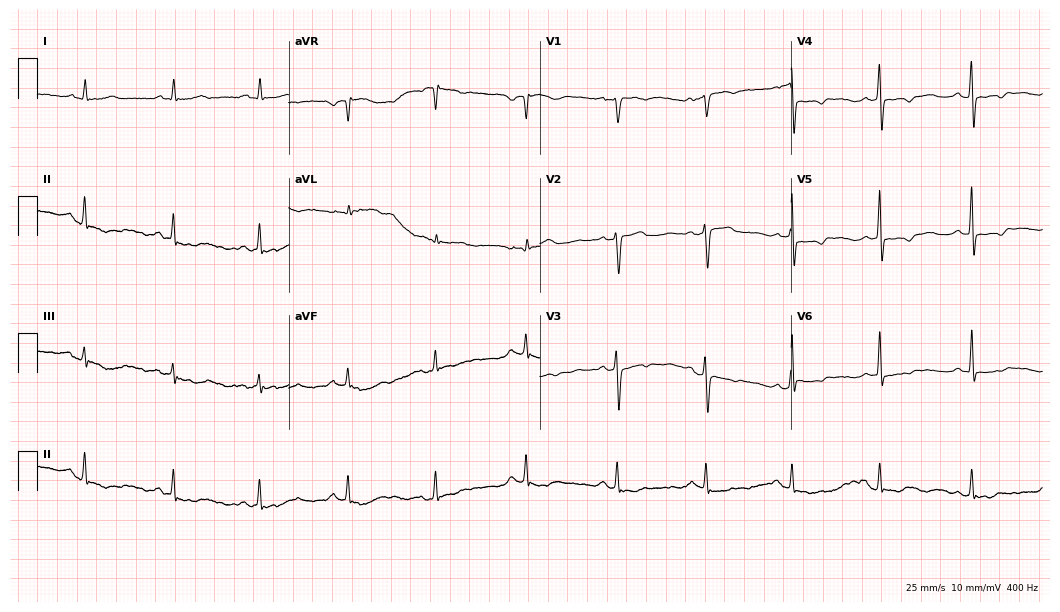
12-lead ECG from a woman, 64 years old (10.2-second recording at 400 Hz). No first-degree AV block, right bundle branch block, left bundle branch block, sinus bradycardia, atrial fibrillation or sinus tachycardia recorded for this tracing.